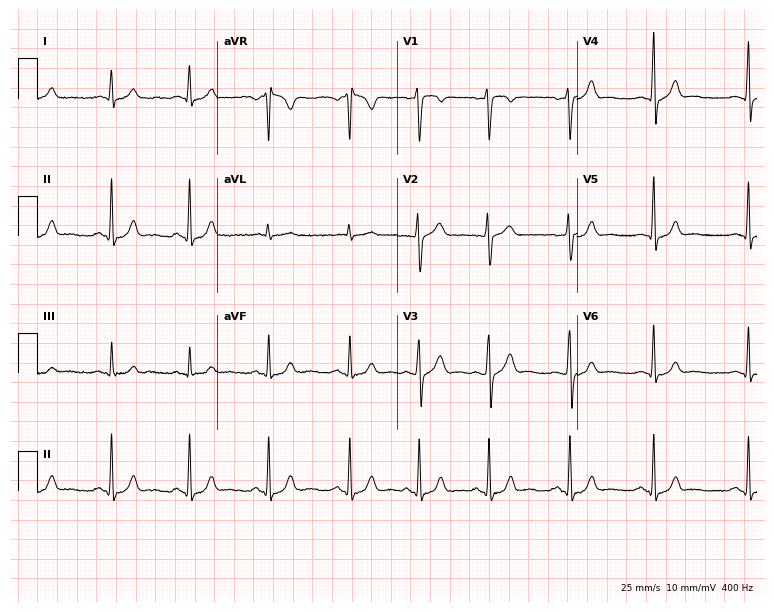
12-lead ECG from a male, 24 years old (7.3-second recording at 400 Hz). No first-degree AV block, right bundle branch block, left bundle branch block, sinus bradycardia, atrial fibrillation or sinus tachycardia recorded for this tracing.